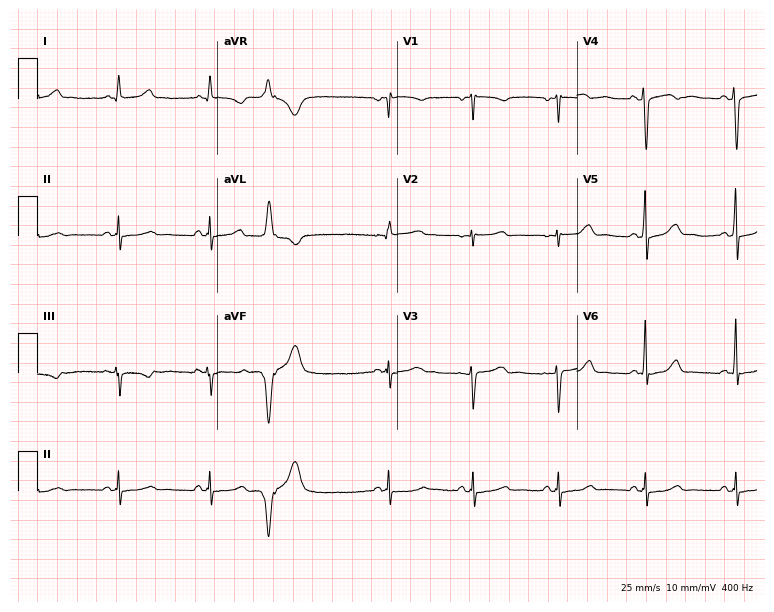
Standard 12-lead ECG recorded from a 36-year-old woman. None of these six findings is recorded: first-degree AV block, right bundle branch block (RBBB), left bundle branch block (LBBB), sinus bradycardia, atrial fibrillation (AF), sinus tachycardia. Only these six findings were labelled.